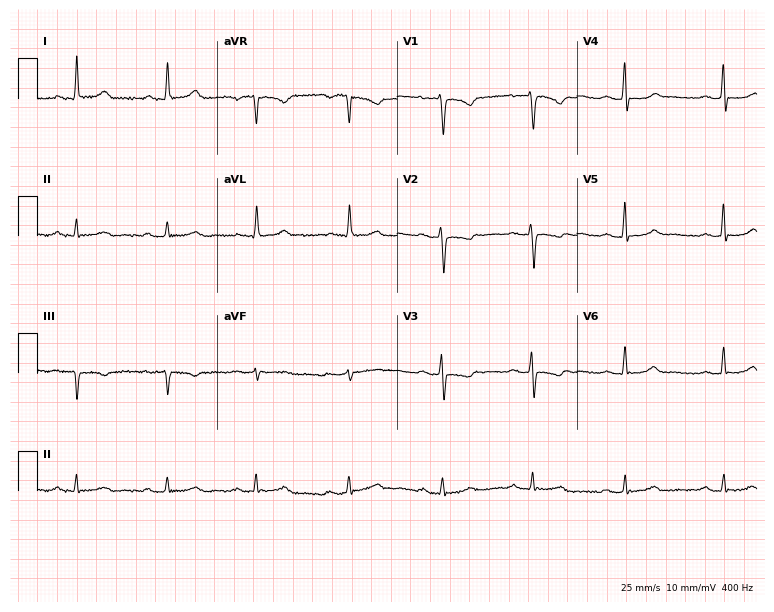
Resting 12-lead electrocardiogram (7.3-second recording at 400 Hz). Patient: a female, 67 years old. None of these six findings is recorded: first-degree AV block, right bundle branch block, left bundle branch block, sinus bradycardia, atrial fibrillation, sinus tachycardia. Other findings, if any, are not listed.